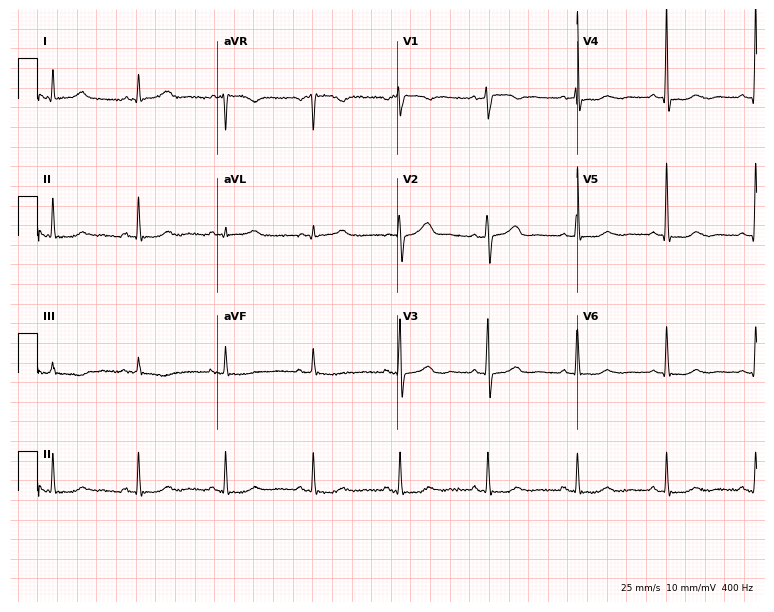
Electrocardiogram (7.3-second recording at 400 Hz), a 70-year-old woman. Of the six screened findings (first-degree AV block, right bundle branch block, left bundle branch block, sinus bradycardia, atrial fibrillation, sinus tachycardia), none is recorded. Only these six findings were labelled.